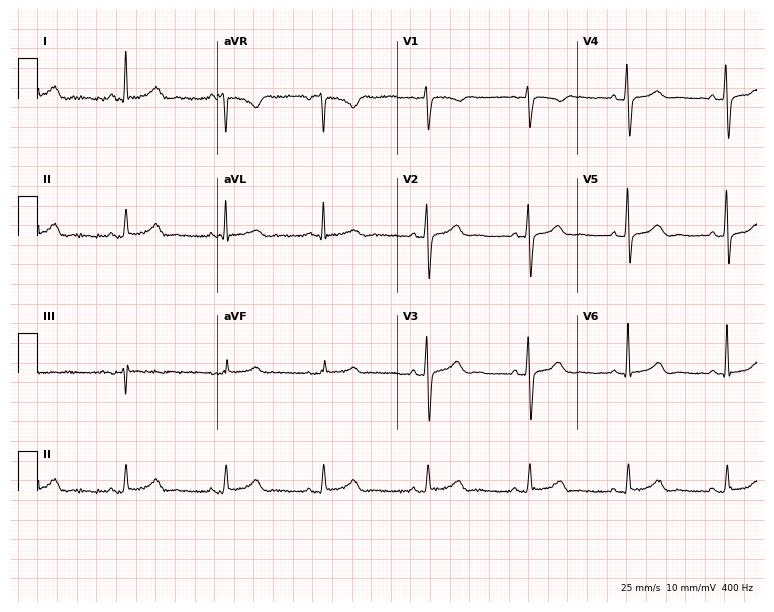
Electrocardiogram, a 53-year-old male. Overall reading on record: normal ECG.